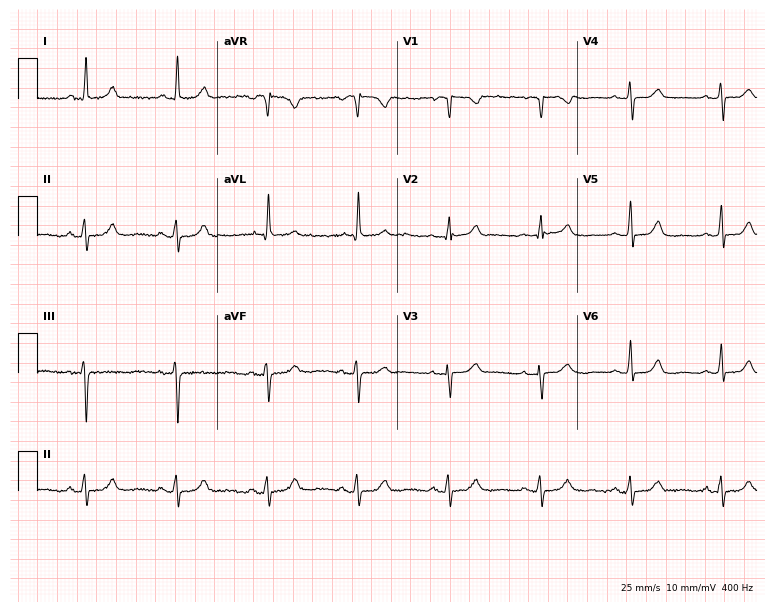
Standard 12-lead ECG recorded from a female, 69 years old (7.3-second recording at 400 Hz). Read as a normal ECG.